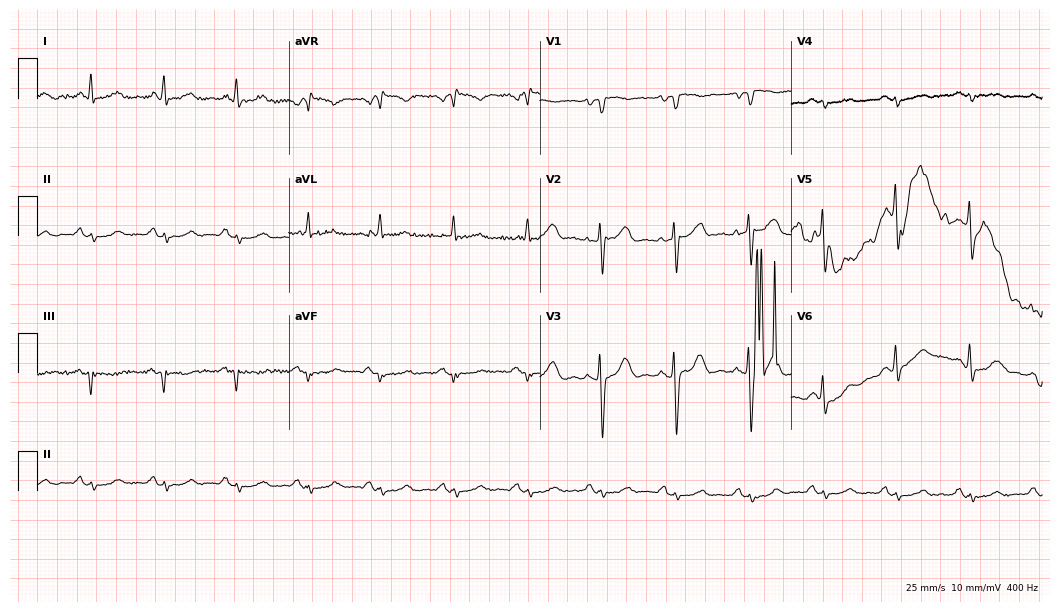
12-lead ECG from a man, 39 years old. No first-degree AV block, right bundle branch block (RBBB), left bundle branch block (LBBB), sinus bradycardia, atrial fibrillation (AF) or sinus tachycardia recorded for this tracing. Findings outside these six are not listed.